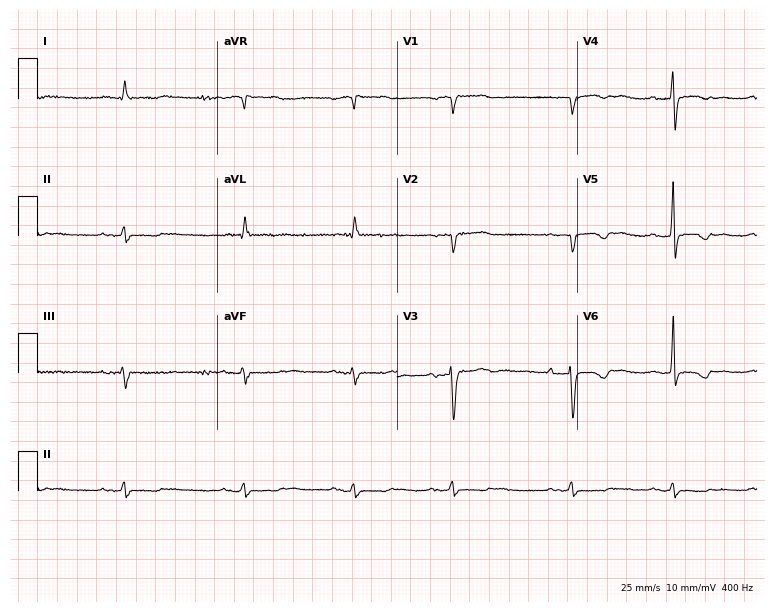
Standard 12-lead ECG recorded from a man, 77 years old. The tracing shows first-degree AV block.